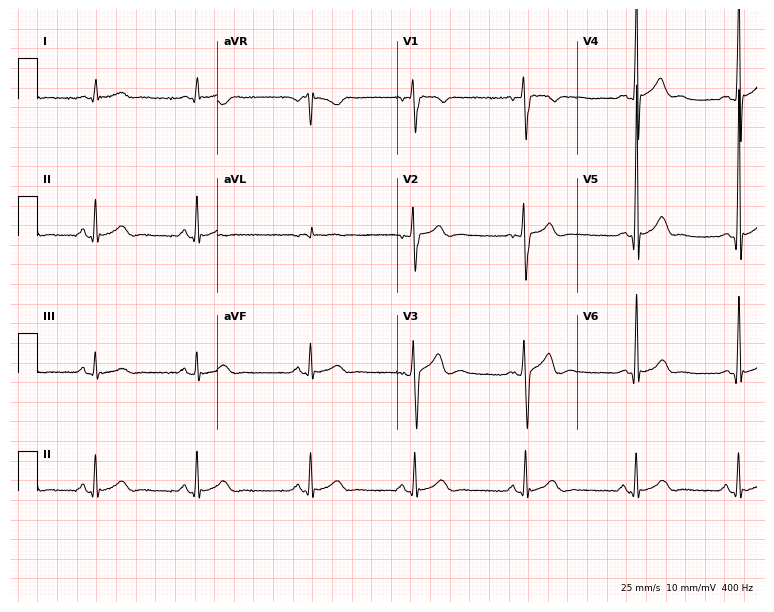
Standard 12-lead ECG recorded from a 24-year-old man. Read as a normal ECG.